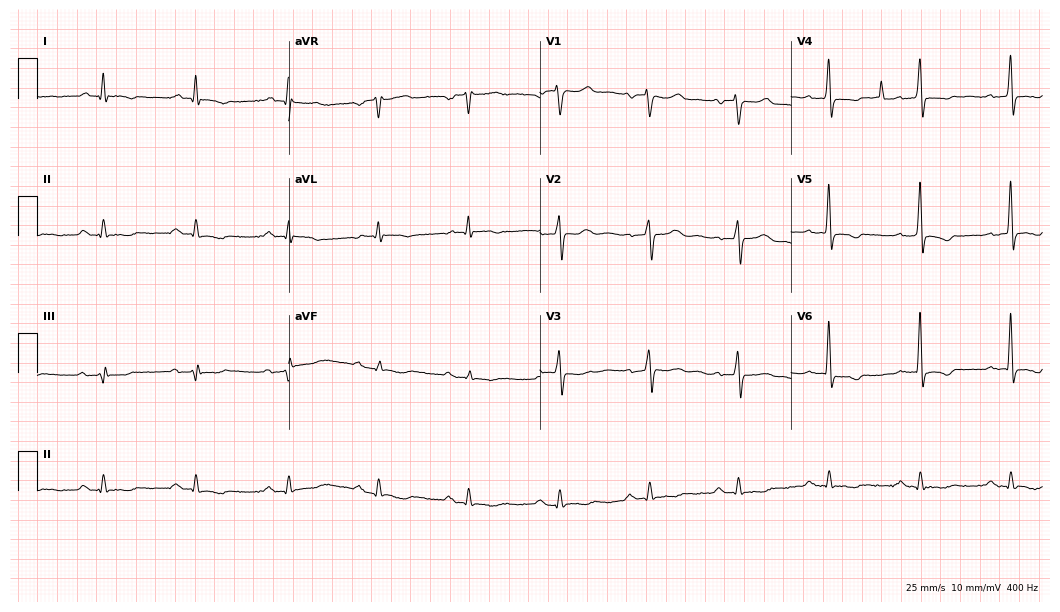
Electrocardiogram, a 74-year-old female. Of the six screened findings (first-degree AV block, right bundle branch block, left bundle branch block, sinus bradycardia, atrial fibrillation, sinus tachycardia), none is recorded.